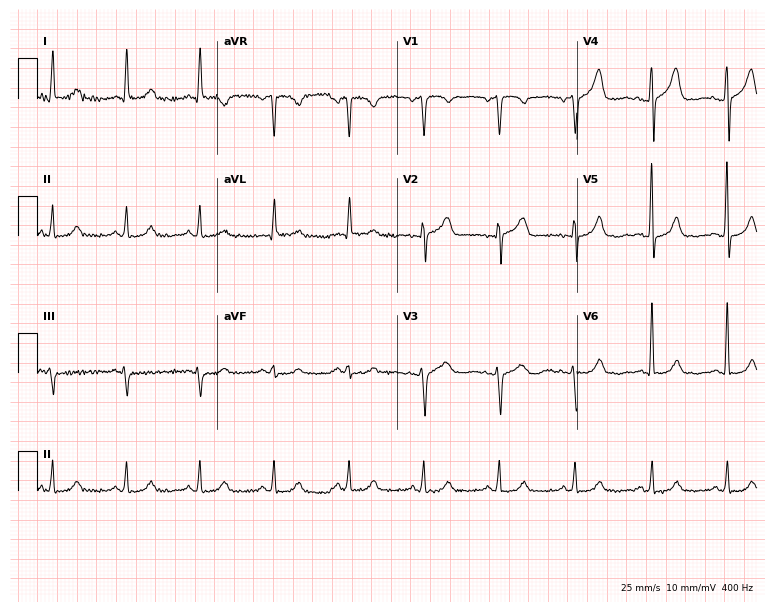
Electrocardiogram, a male patient, 47 years old. Overall reading on record: normal ECG.